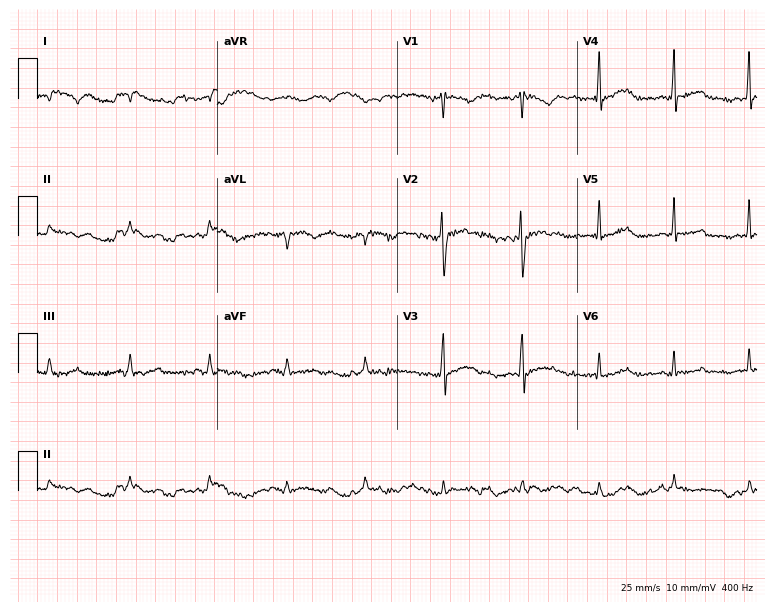
Standard 12-lead ECG recorded from a 30-year-old male (7.3-second recording at 400 Hz). None of these six findings is recorded: first-degree AV block, right bundle branch block, left bundle branch block, sinus bradycardia, atrial fibrillation, sinus tachycardia.